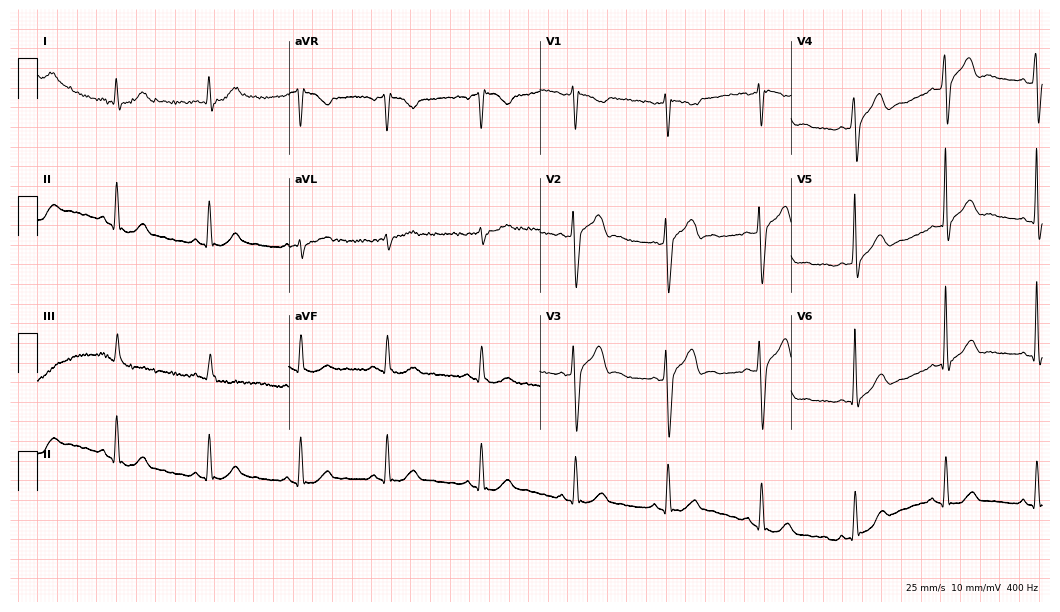
Resting 12-lead electrocardiogram. Patient: a male, 38 years old. None of these six findings is recorded: first-degree AV block, right bundle branch block, left bundle branch block, sinus bradycardia, atrial fibrillation, sinus tachycardia.